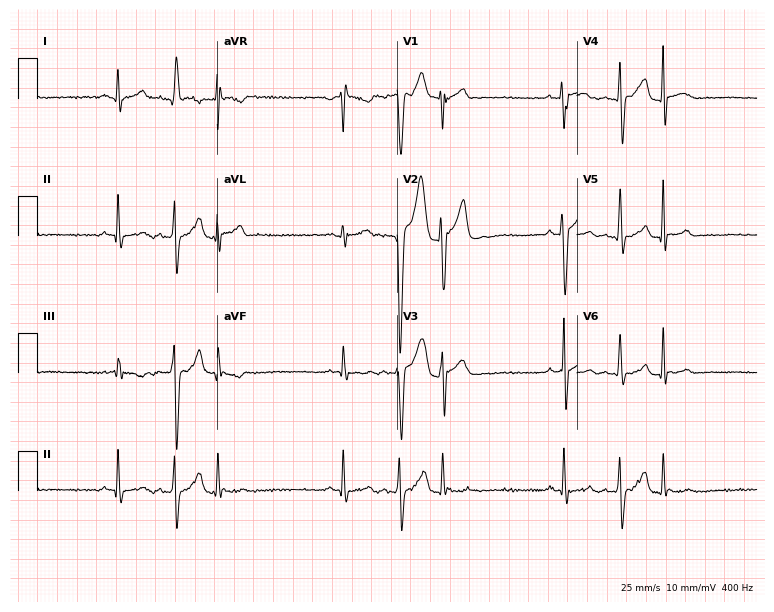
ECG (7.3-second recording at 400 Hz) — a male patient, 19 years old. Screened for six findings — first-degree AV block, right bundle branch block, left bundle branch block, sinus bradycardia, atrial fibrillation, sinus tachycardia — none is recorded. Only these six findings were labelled.